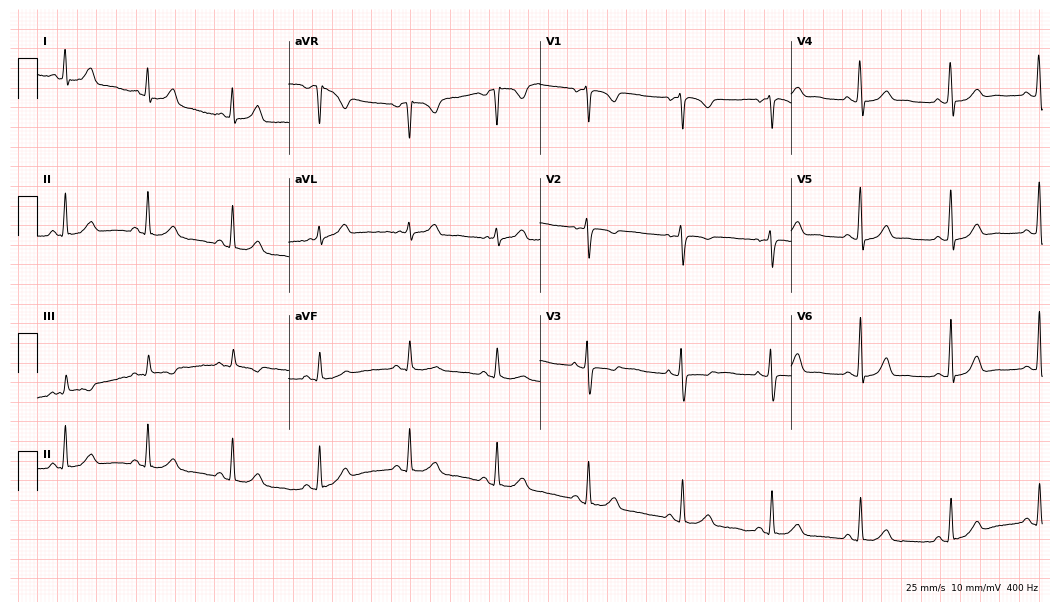
12-lead ECG from a 41-year-old female patient (10.2-second recording at 400 Hz). No first-degree AV block, right bundle branch block, left bundle branch block, sinus bradycardia, atrial fibrillation or sinus tachycardia recorded for this tracing.